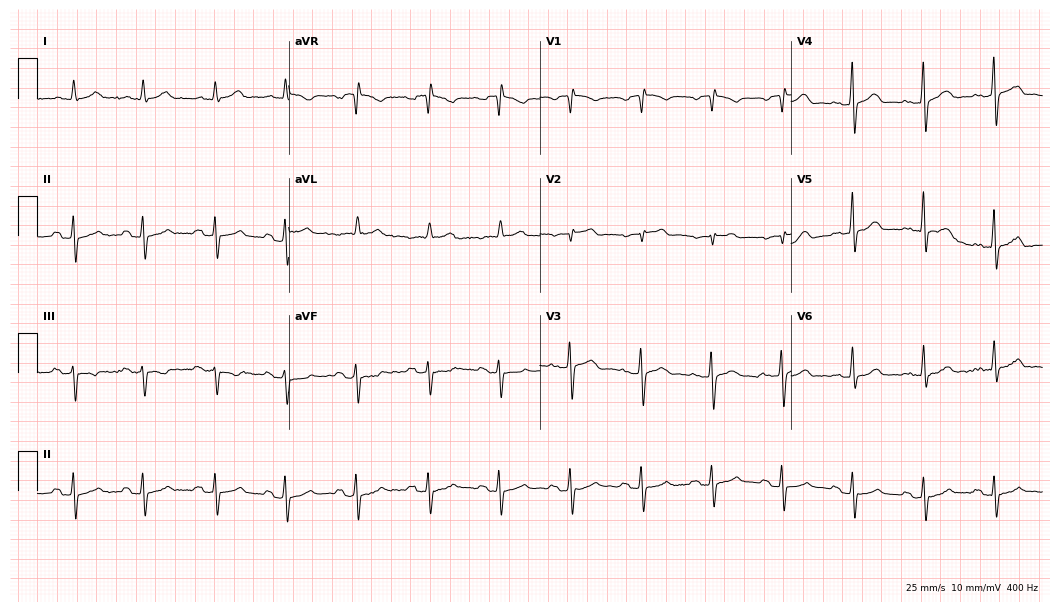
12-lead ECG from a male, 80 years old (10.2-second recording at 400 Hz). No first-degree AV block, right bundle branch block, left bundle branch block, sinus bradycardia, atrial fibrillation or sinus tachycardia recorded for this tracing. Only these six findings were labelled.